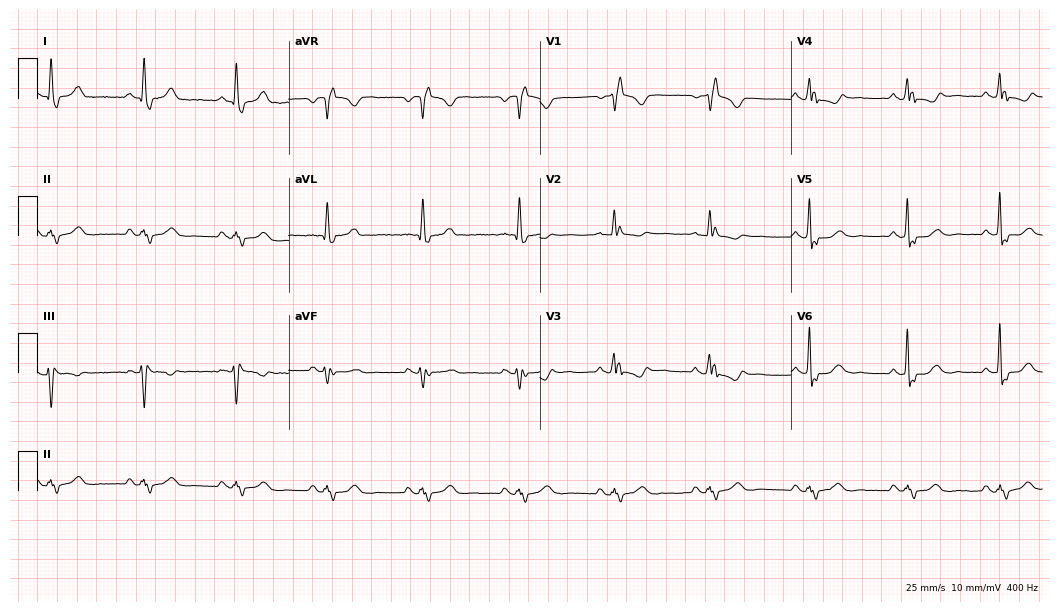
12-lead ECG from a woman, 53 years old. Findings include right bundle branch block (RBBB).